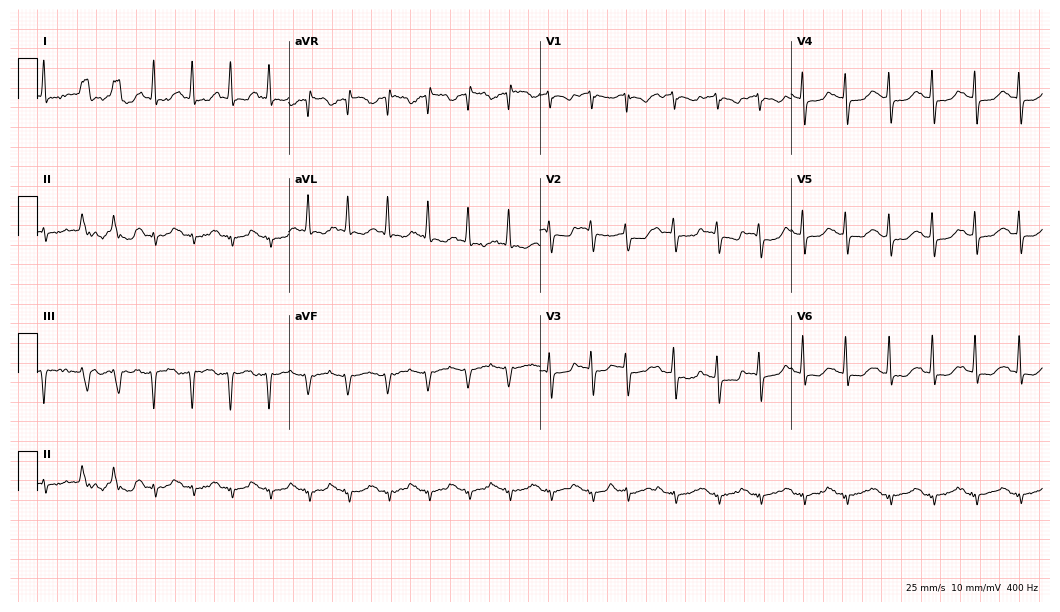
ECG (10.2-second recording at 400 Hz) — a 74-year-old woman. Findings include sinus tachycardia (a sinus rate of 100 beats per minute or more).